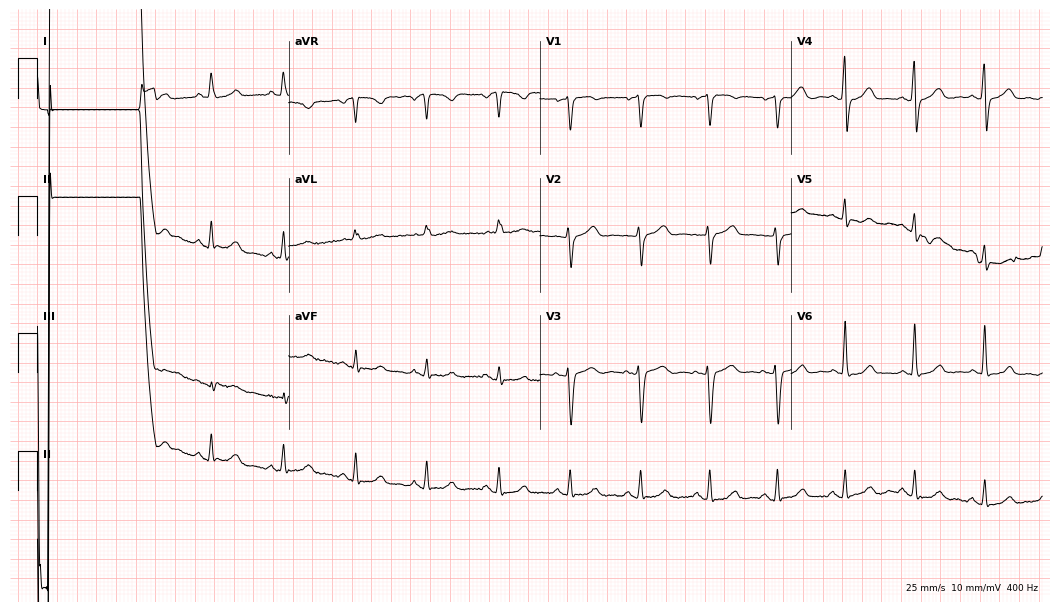
Standard 12-lead ECG recorded from a 47-year-old female. Read as a normal ECG.